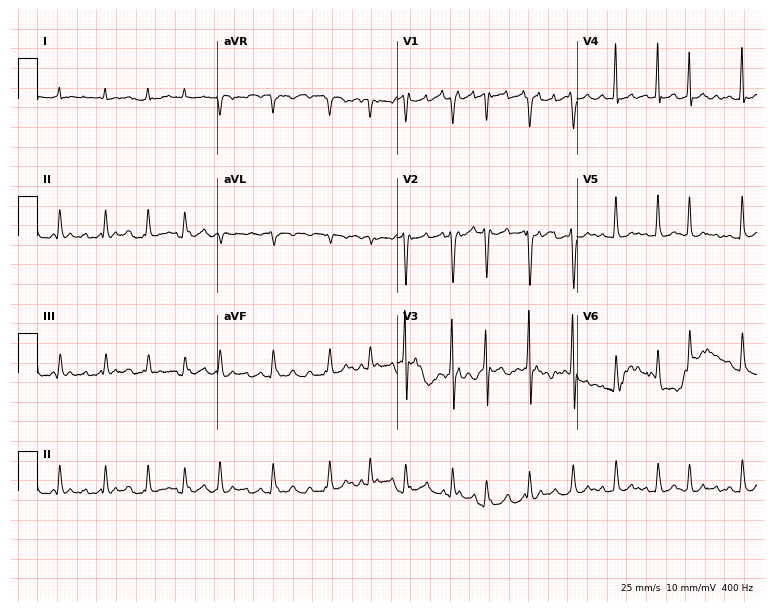
Standard 12-lead ECG recorded from a woman, 59 years old. None of these six findings is recorded: first-degree AV block, right bundle branch block (RBBB), left bundle branch block (LBBB), sinus bradycardia, atrial fibrillation (AF), sinus tachycardia.